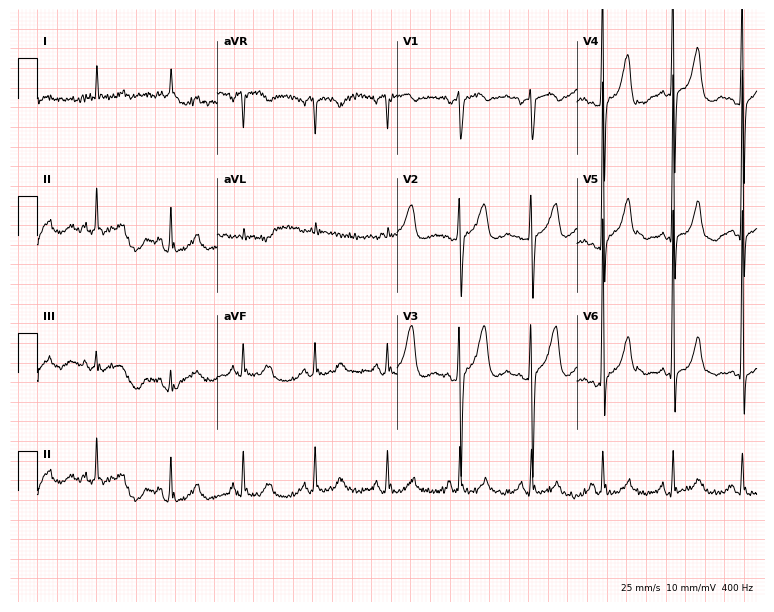
12-lead ECG from a 78-year-old male. Screened for six findings — first-degree AV block, right bundle branch block, left bundle branch block, sinus bradycardia, atrial fibrillation, sinus tachycardia — none is recorded.